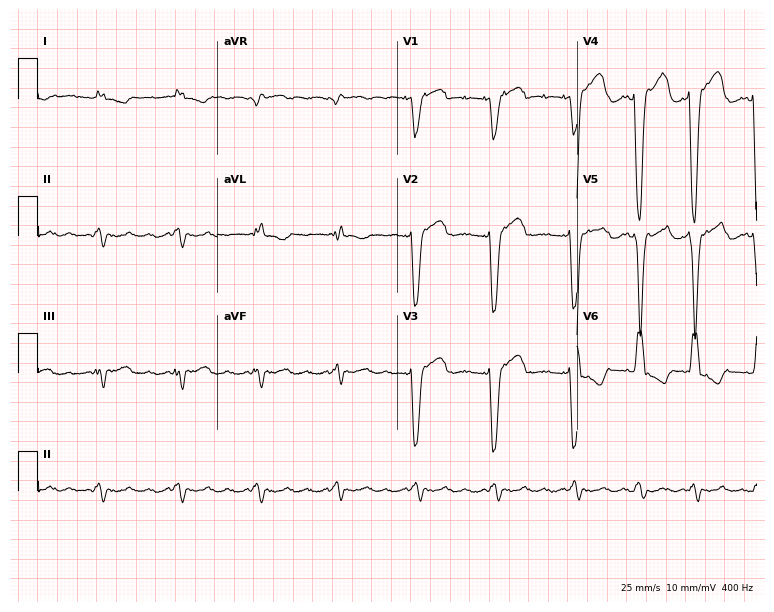
12-lead ECG from an 80-year-old male. No first-degree AV block, right bundle branch block, left bundle branch block, sinus bradycardia, atrial fibrillation or sinus tachycardia recorded for this tracing. Only these six findings were labelled.